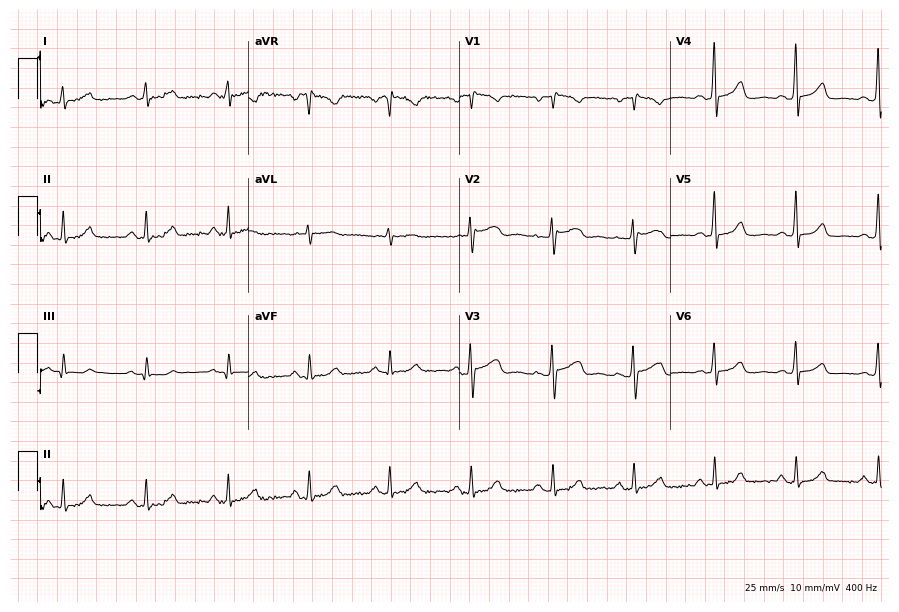
ECG (8.6-second recording at 400 Hz) — a female patient, 53 years old. Labelled as a normal ECG.